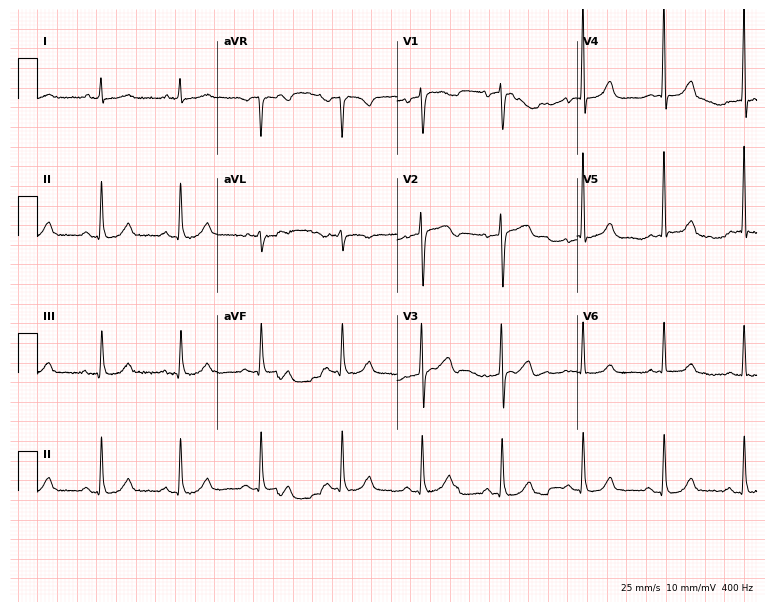
12-lead ECG from an 82-year-old male patient (7.3-second recording at 400 Hz). Recorded interpretation: within normal limits.